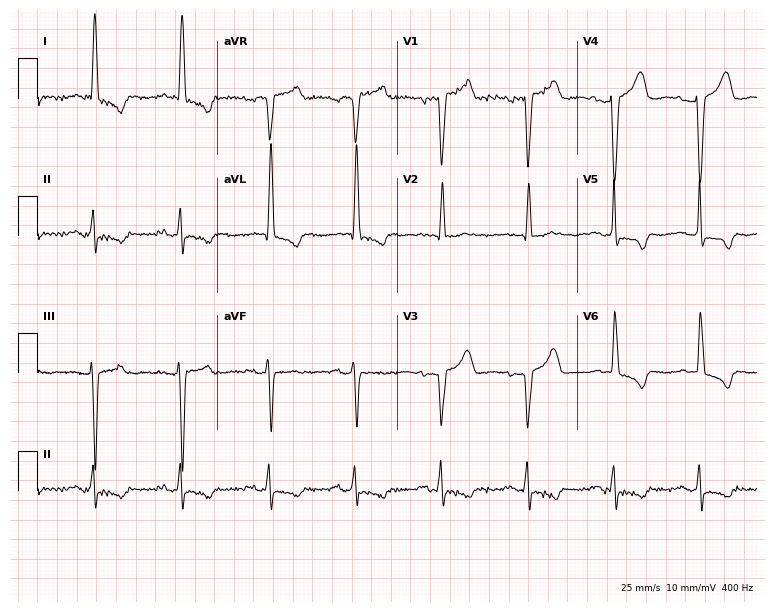
12-lead ECG from a 69-year-old woman (7.3-second recording at 400 Hz). No first-degree AV block, right bundle branch block, left bundle branch block, sinus bradycardia, atrial fibrillation or sinus tachycardia recorded for this tracing.